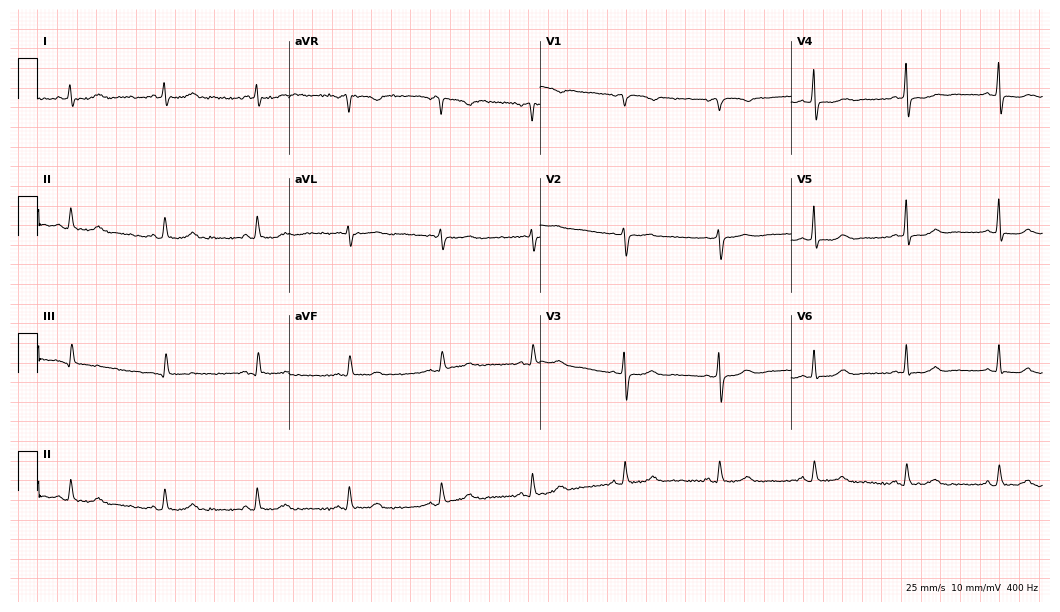
ECG — a 64-year-old woman. Screened for six findings — first-degree AV block, right bundle branch block (RBBB), left bundle branch block (LBBB), sinus bradycardia, atrial fibrillation (AF), sinus tachycardia — none is recorded.